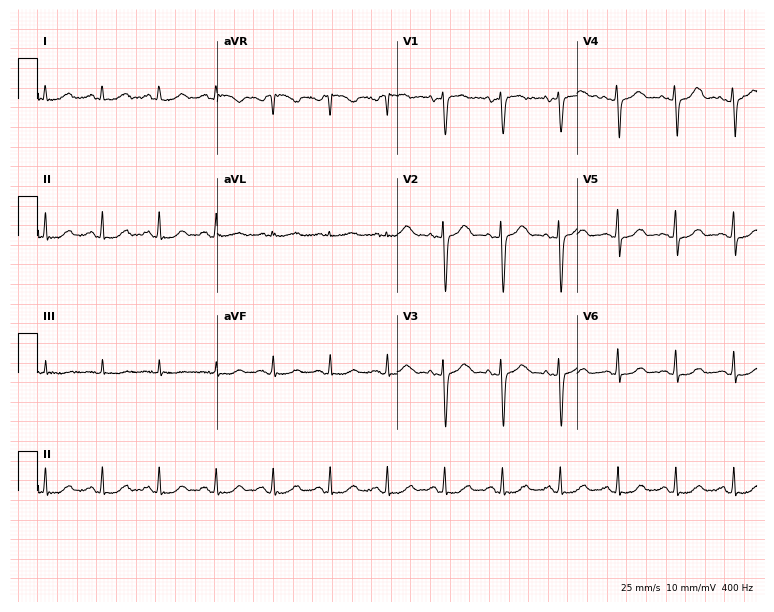
ECG — a 54-year-old female. Labelled as a normal ECG.